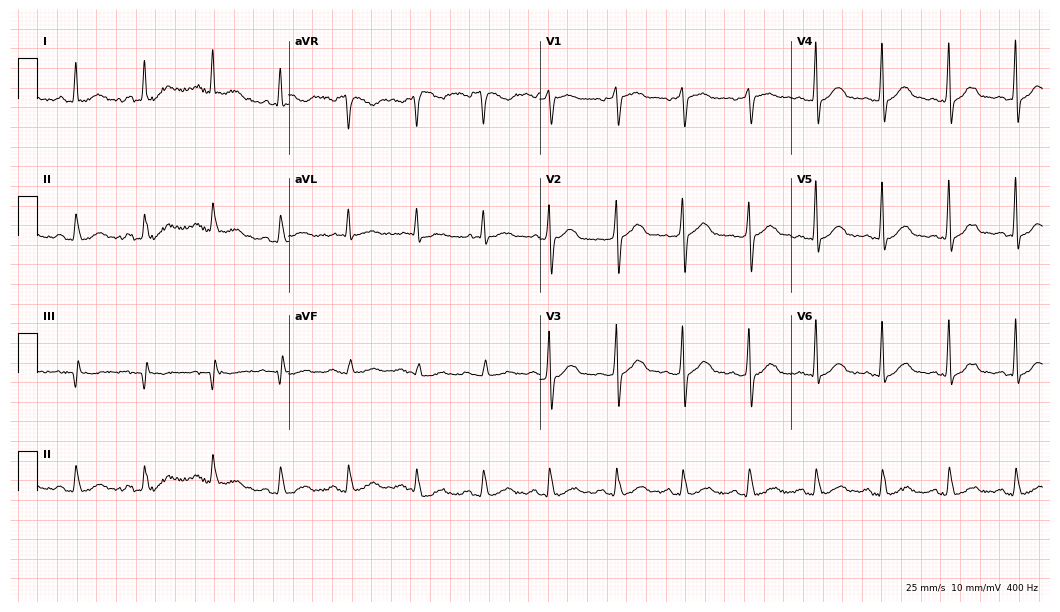
ECG (10.2-second recording at 400 Hz) — a 57-year-old male patient. Labelled as a normal ECG.